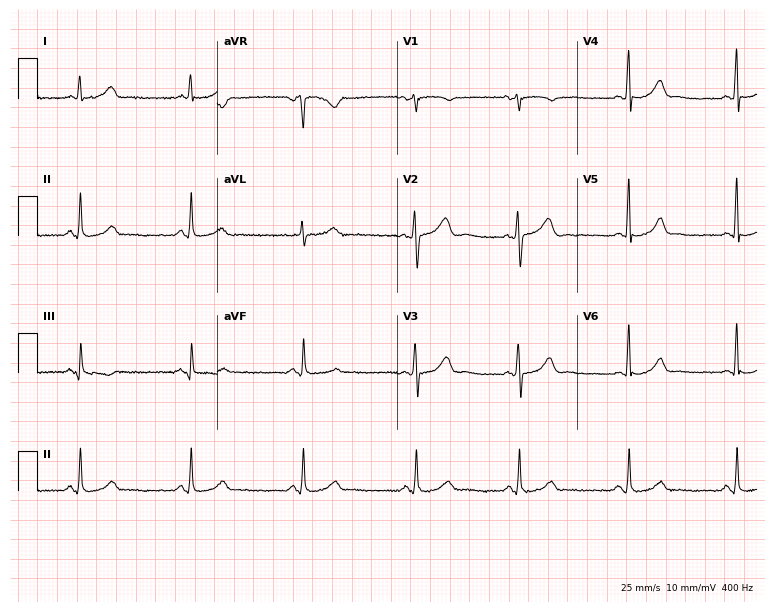
Standard 12-lead ECG recorded from a 54-year-old male patient (7.3-second recording at 400 Hz). Read as a normal ECG.